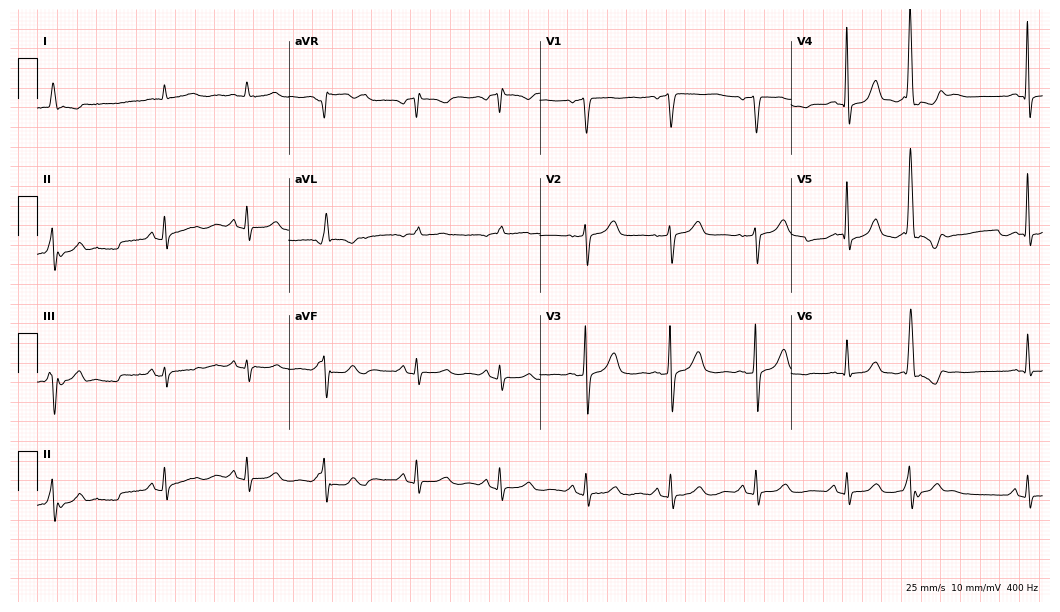
Electrocardiogram, a 74-year-old male. Of the six screened findings (first-degree AV block, right bundle branch block, left bundle branch block, sinus bradycardia, atrial fibrillation, sinus tachycardia), none is recorded. Findings outside these six are not listed.